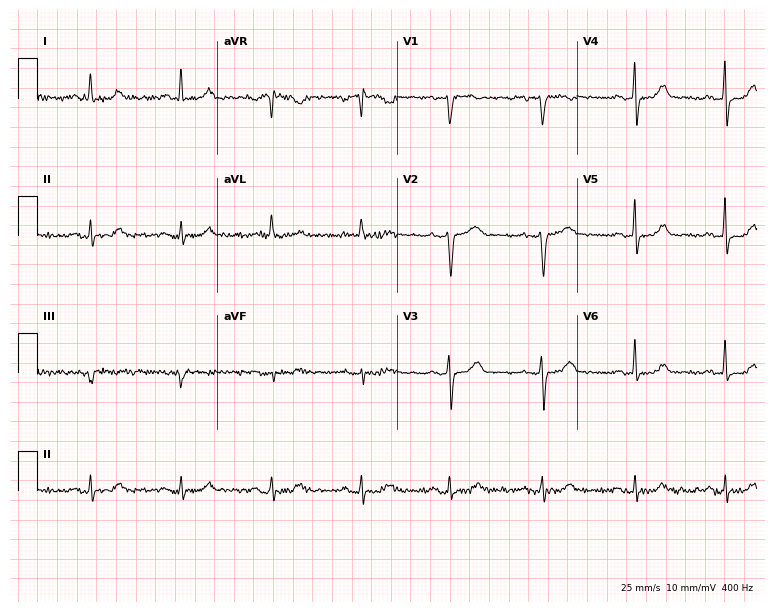
12-lead ECG from a 53-year-old woman. Recorded interpretation: within normal limits.